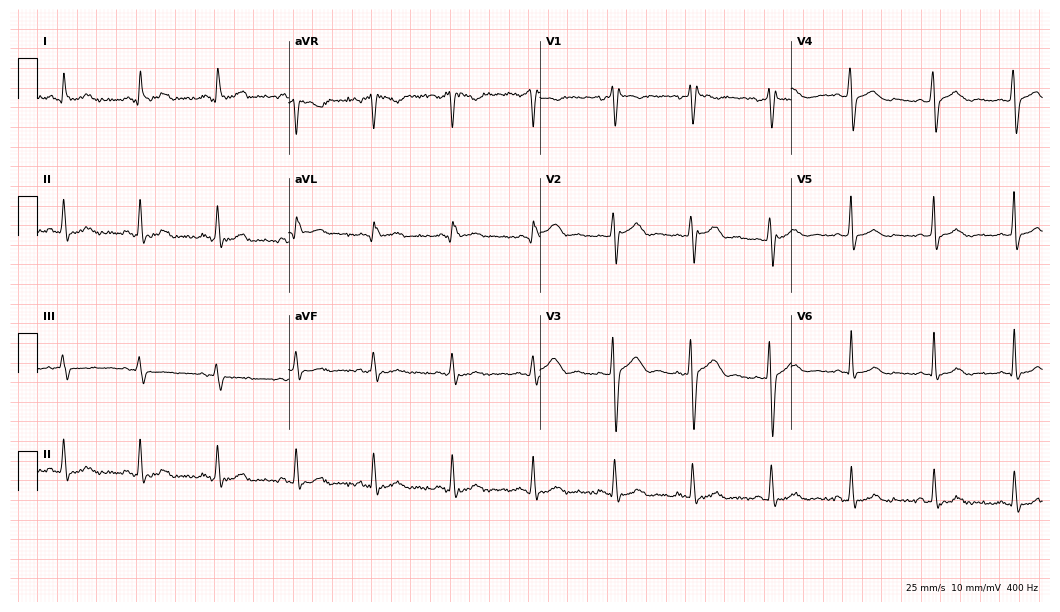
Electrocardiogram, a female patient, 42 years old. Of the six screened findings (first-degree AV block, right bundle branch block (RBBB), left bundle branch block (LBBB), sinus bradycardia, atrial fibrillation (AF), sinus tachycardia), none is recorded.